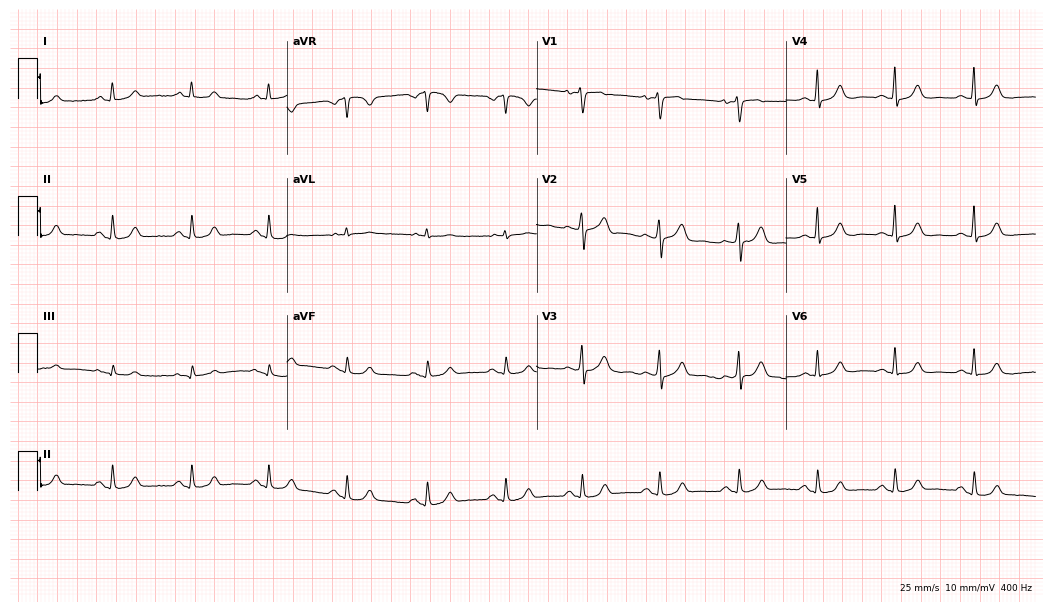
12-lead ECG from a female, 47 years old (10.2-second recording at 400 Hz). Recorded interpretation: within normal limits.